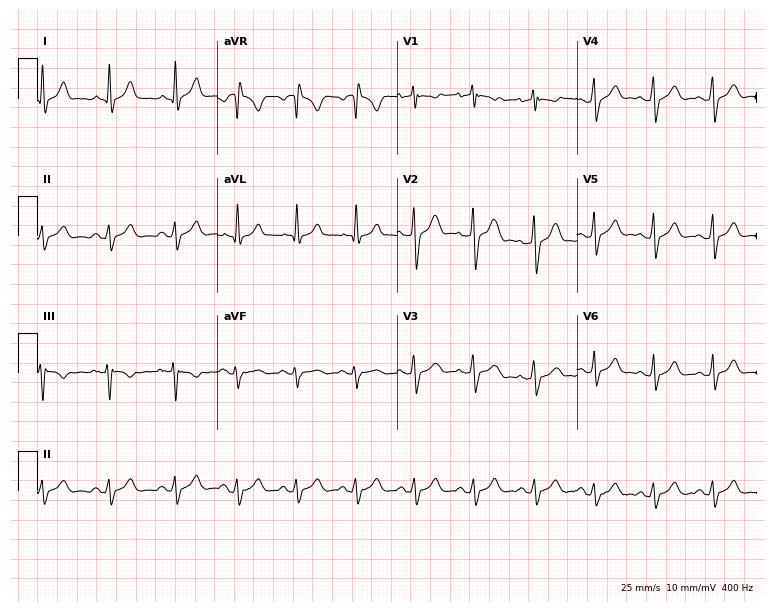
ECG (7.3-second recording at 400 Hz) — a man, 25 years old. Screened for six findings — first-degree AV block, right bundle branch block, left bundle branch block, sinus bradycardia, atrial fibrillation, sinus tachycardia — none is recorded.